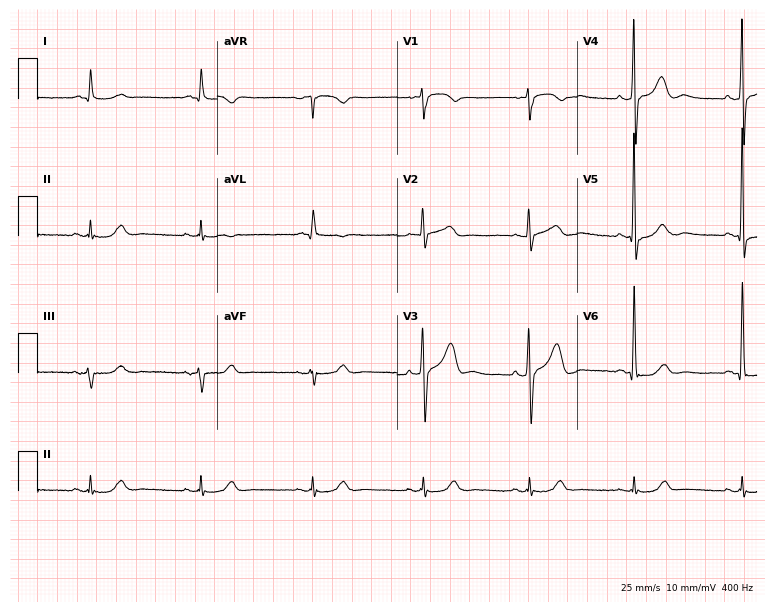
12-lead ECG (7.3-second recording at 400 Hz) from a man, 81 years old. Labelled as a normal ECG.